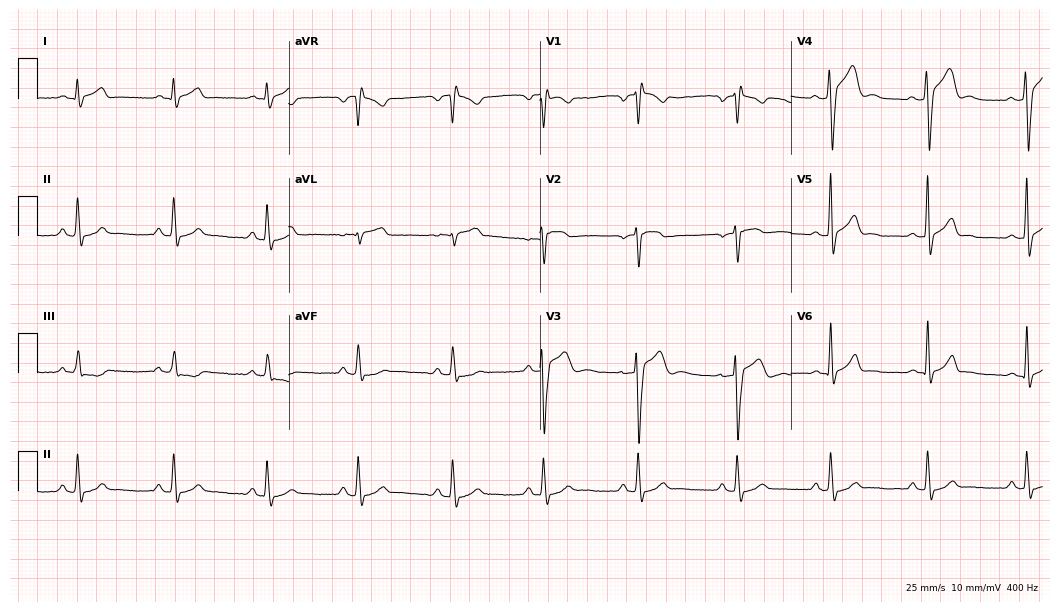
ECG (10.2-second recording at 400 Hz) — a male, 26 years old. Screened for six findings — first-degree AV block, right bundle branch block, left bundle branch block, sinus bradycardia, atrial fibrillation, sinus tachycardia — none is recorded.